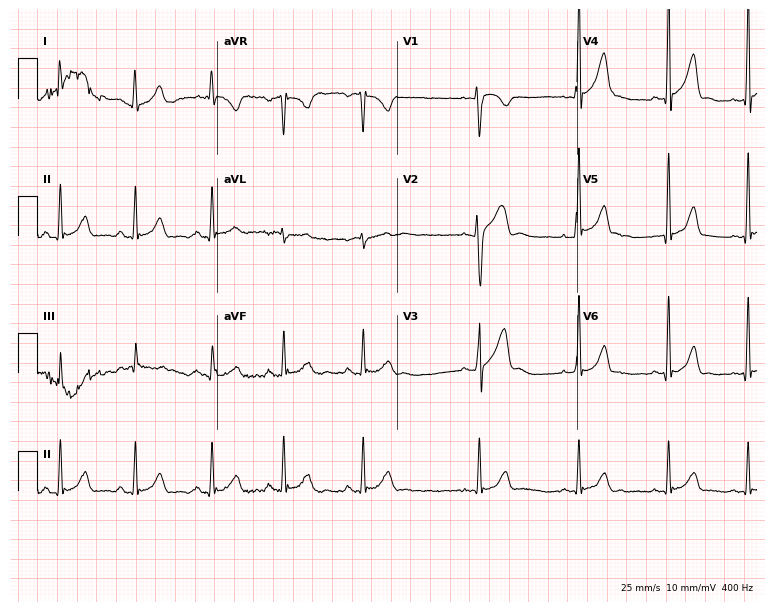
Electrocardiogram, a 26-year-old man. Overall reading on record: normal ECG.